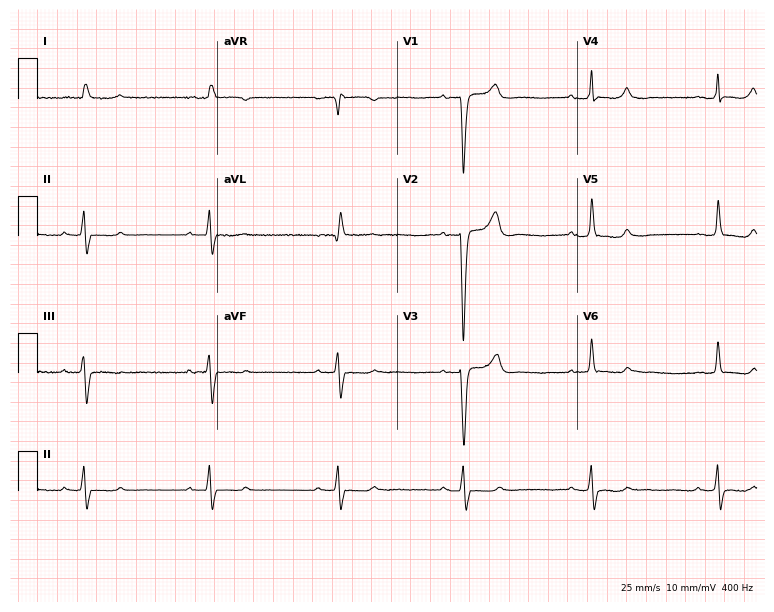
12-lead ECG from an 81-year-old female. Findings include sinus bradycardia (a sinus rate of 50 beats per minute or less).